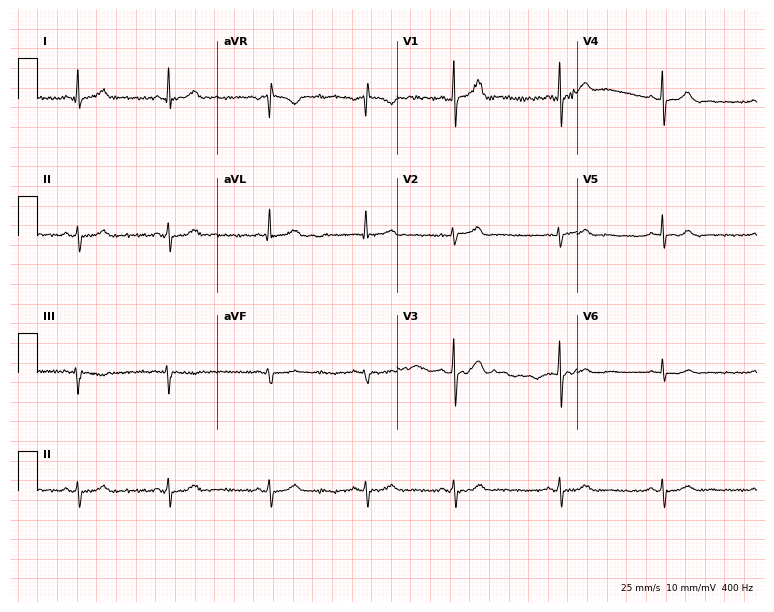
Electrocardiogram, a female, 23 years old. Of the six screened findings (first-degree AV block, right bundle branch block, left bundle branch block, sinus bradycardia, atrial fibrillation, sinus tachycardia), none is recorded.